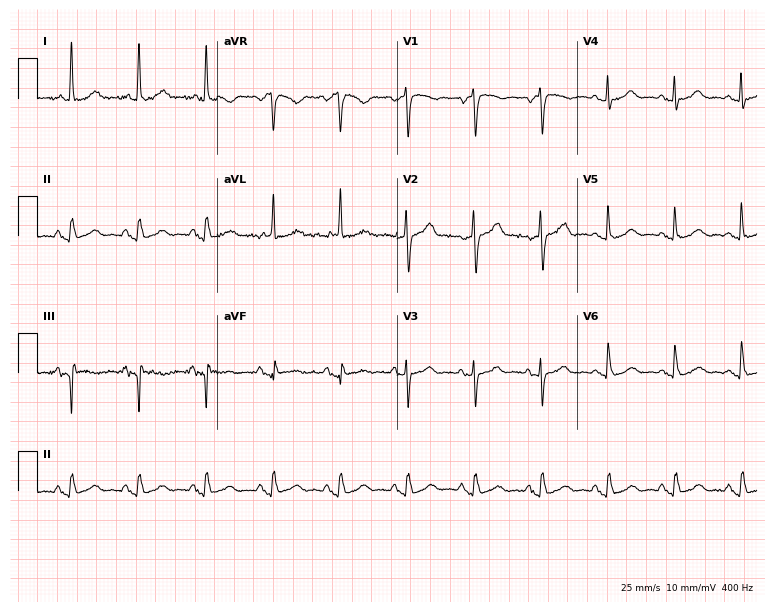
12-lead ECG from an 80-year-old woman (7.3-second recording at 400 Hz). No first-degree AV block, right bundle branch block, left bundle branch block, sinus bradycardia, atrial fibrillation or sinus tachycardia recorded for this tracing.